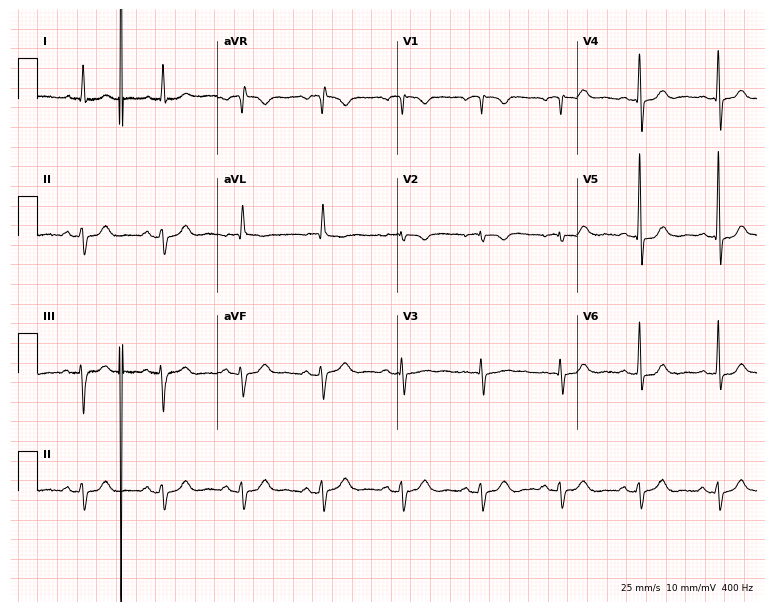
ECG (7.3-second recording at 400 Hz) — an 80-year-old male patient. Screened for six findings — first-degree AV block, right bundle branch block, left bundle branch block, sinus bradycardia, atrial fibrillation, sinus tachycardia — none is recorded. Other findings, if any, are not listed.